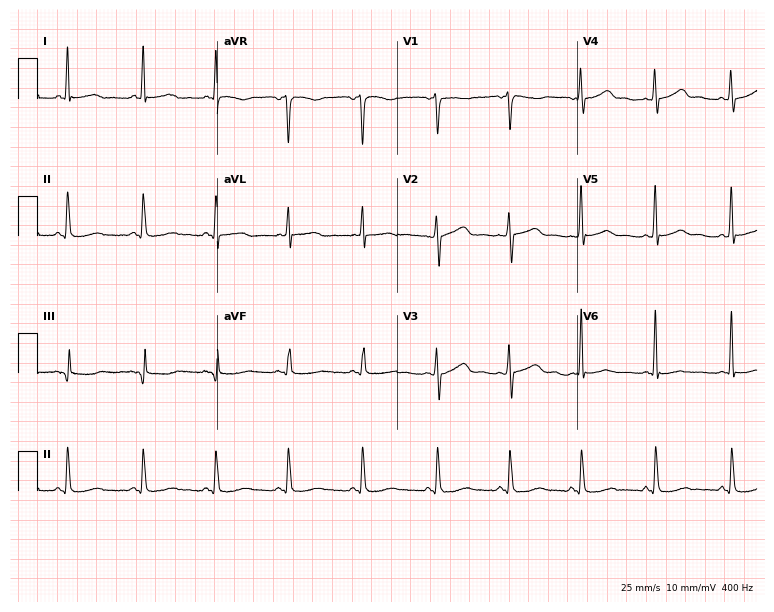
12-lead ECG from a 43-year-old female patient. Screened for six findings — first-degree AV block, right bundle branch block, left bundle branch block, sinus bradycardia, atrial fibrillation, sinus tachycardia — none is recorded. Findings outside these six are not listed.